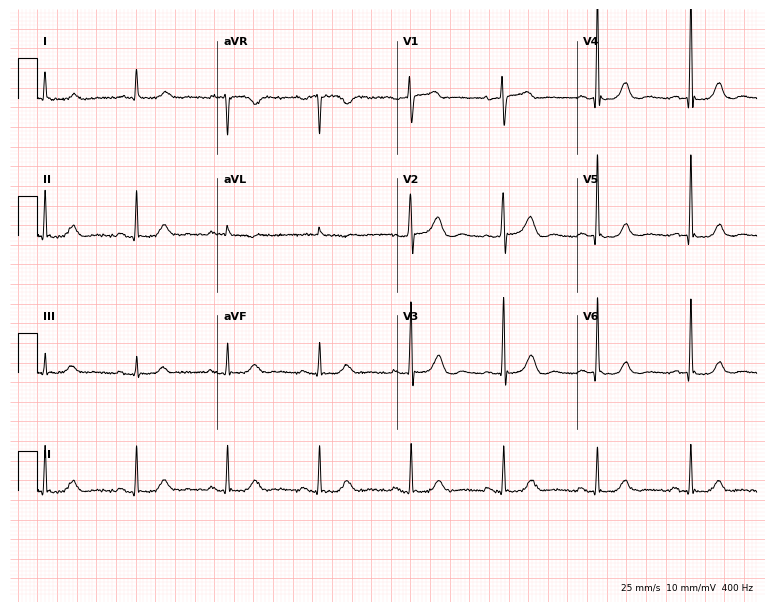
ECG — a 76-year-old woman. Screened for six findings — first-degree AV block, right bundle branch block (RBBB), left bundle branch block (LBBB), sinus bradycardia, atrial fibrillation (AF), sinus tachycardia — none is recorded. Only these six findings were labelled.